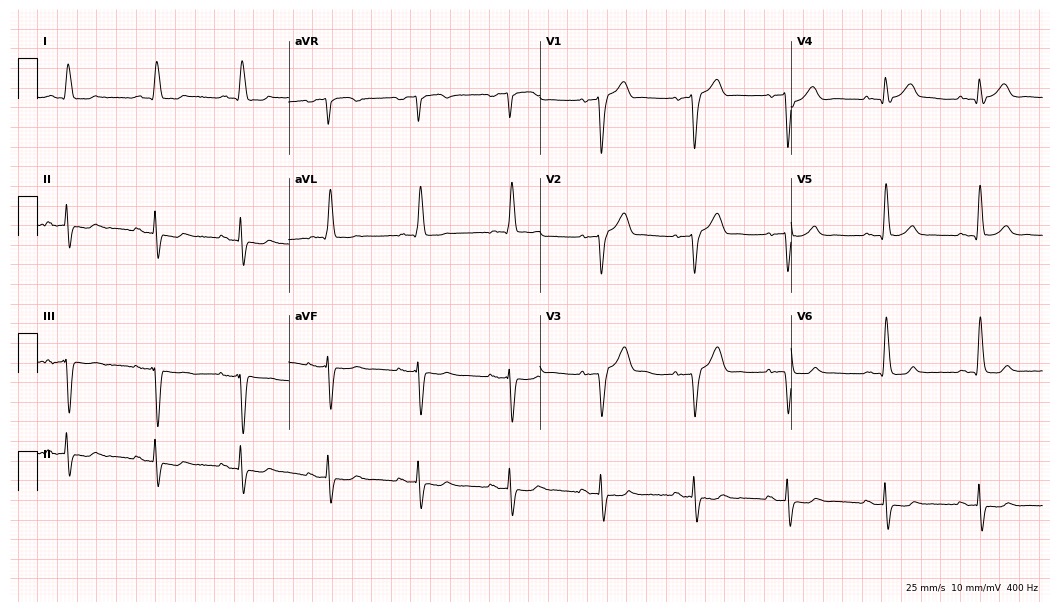
Resting 12-lead electrocardiogram (10.2-second recording at 400 Hz). Patient: a man, 76 years old. None of these six findings is recorded: first-degree AV block, right bundle branch block, left bundle branch block, sinus bradycardia, atrial fibrillation, sinus tachycardia.